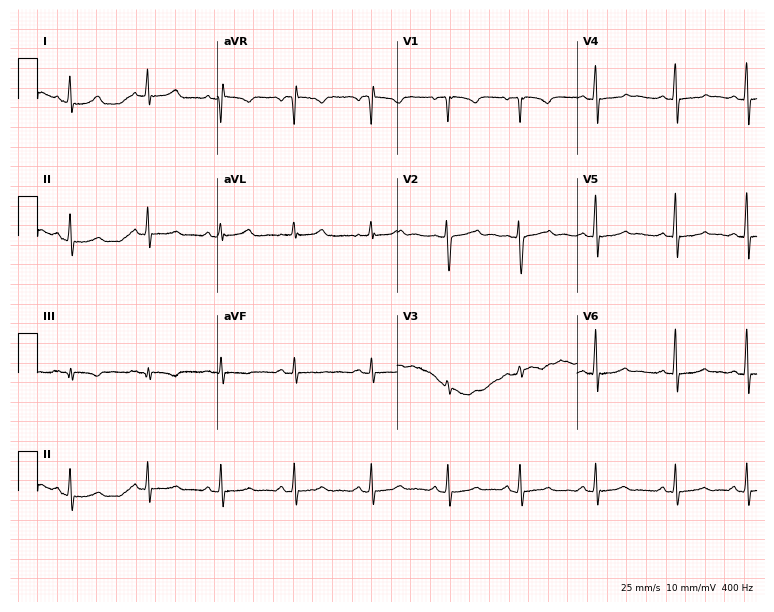
Resting 12-lead electrocardiogram (7.3-second recording at 400 Hz). Patient: a female, 20 years old. Read as a normal ECG.